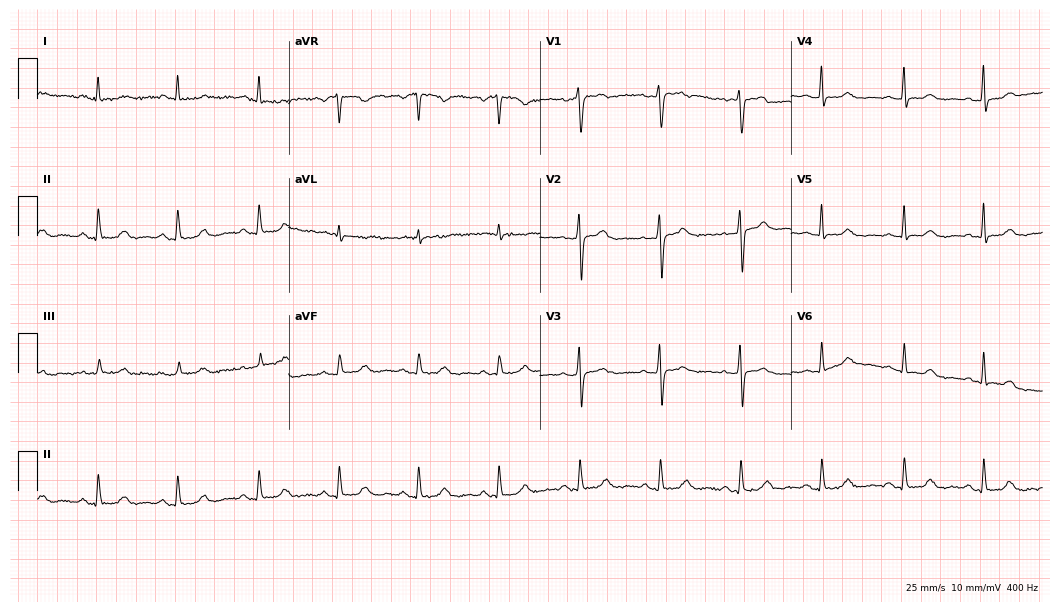
12-lead ECG (10.2-second recording at 400 Hz) from a 55-year-old female. Screened for six findings — first-degree AV block, right bundle branch block (RBBB), left bundle branch block (LBBB), sinus bradycardia, atrial fibrillation (AF), sinus tachycardia — none is recorded.